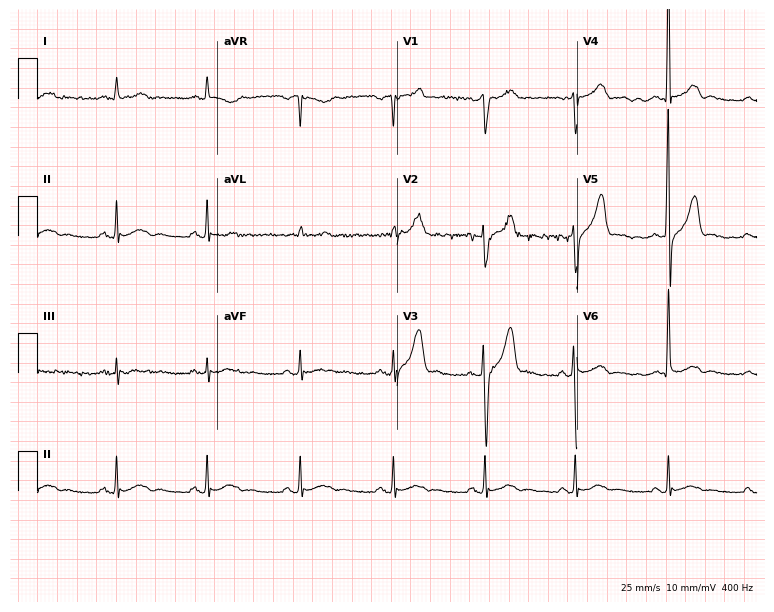
Resting 12-lead electrocardiogram. Patient: a 45-year-old male. Read as a normal ECG.